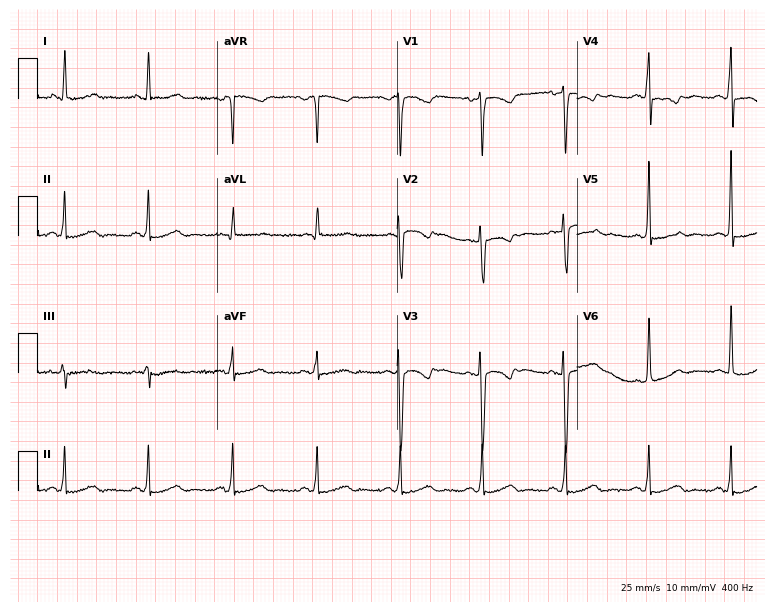
12-lead ECG from a 38-year-old female patient. No first-degree AV block, right bundle branch block (RBBB), left bundle branch block (LBBB), sinus bradycardia, atrial fibrillation (AF) or sinus tachycardia recorded for this tracing.